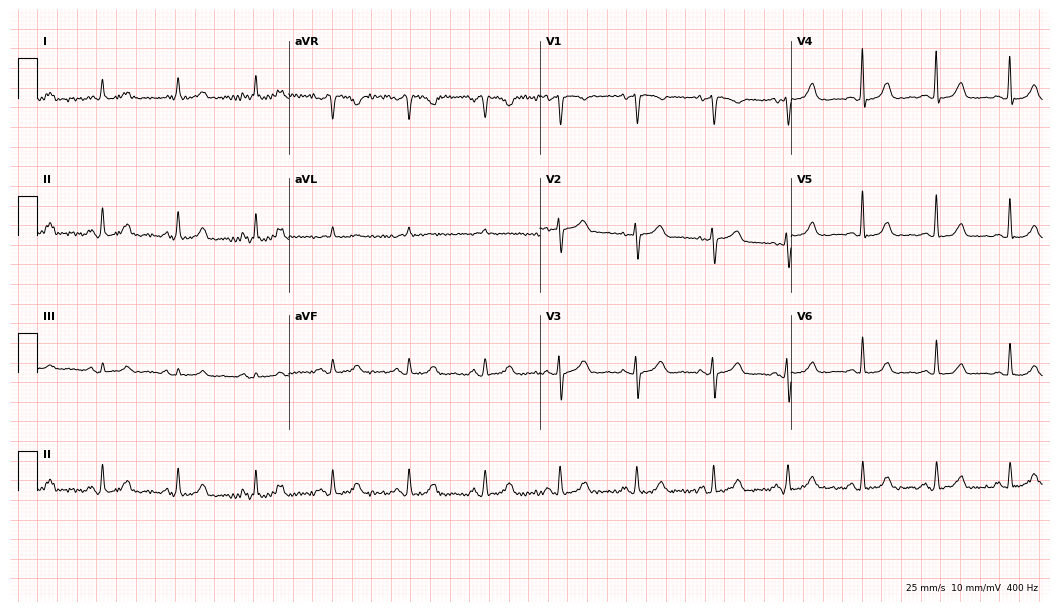
Resting 12-lead electrocardiogram (10.2-second recording at 400 Hz). Patient: an 81-year-old female. Read as a normal ECG.